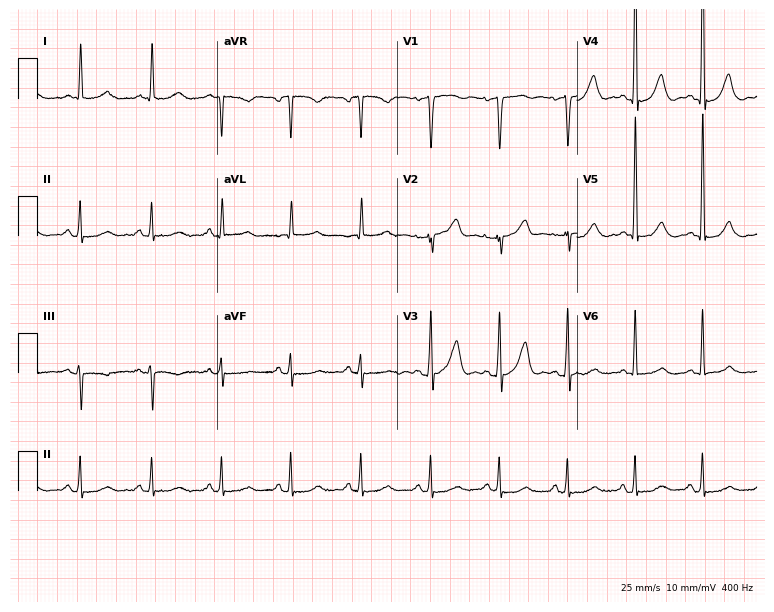
12-lead ECG (7.3-second recording at 400 Hz) from a male patient, 65 years old. Labelled as a normal ECG.